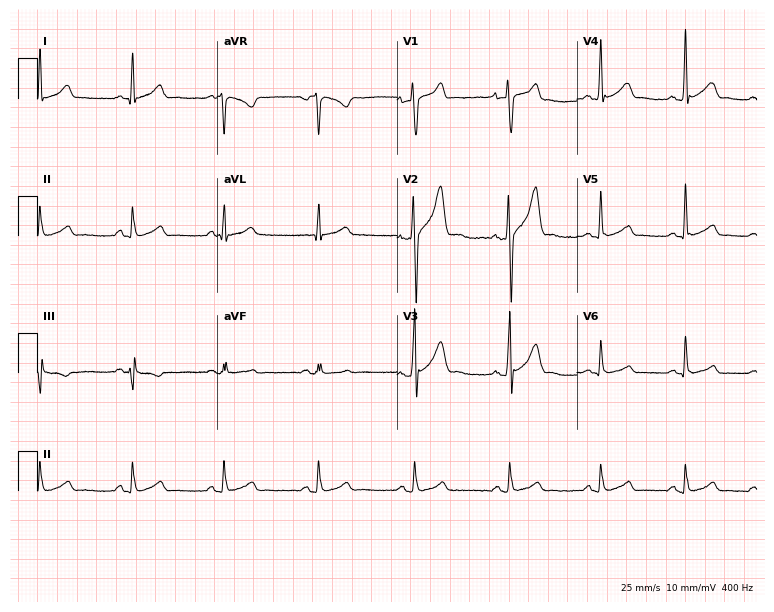
12-lead ECG from a 27-year-old male patient (7.3-second recording at 400 Hz). No first-degree AV block, right bundle branch block (RBBB), left bundle branch block (LBBB), sinus bradycardia, atrial fibrillation (AF) or sinus tachycardia recorded for this tracing.